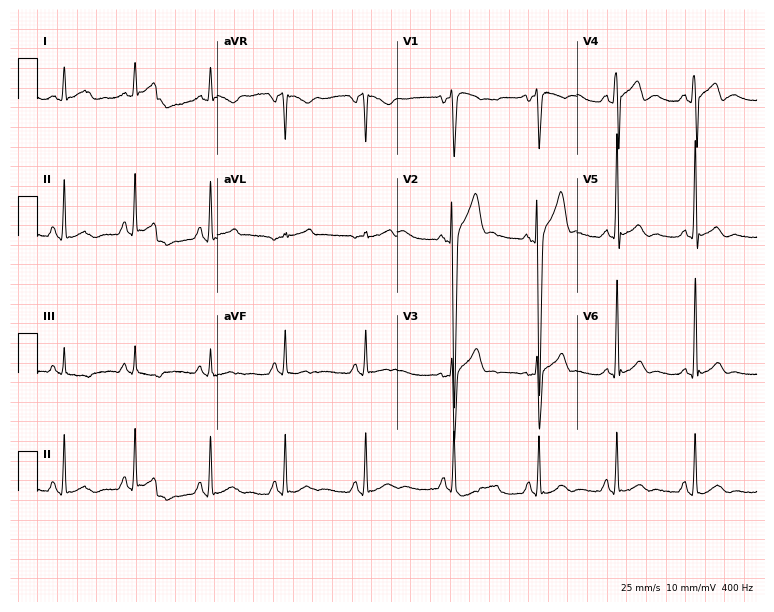
Standard 12-lead ECG recorded from a man, 22 years old (7.3-second recording at 400 Hz). None of these six findings is recorded: first-degree AV block, right bundle branch block, left bundle branch block, sinus bradycardia, atrial fibrillation, sinus tachycardia. Findings outside these six are not listed.